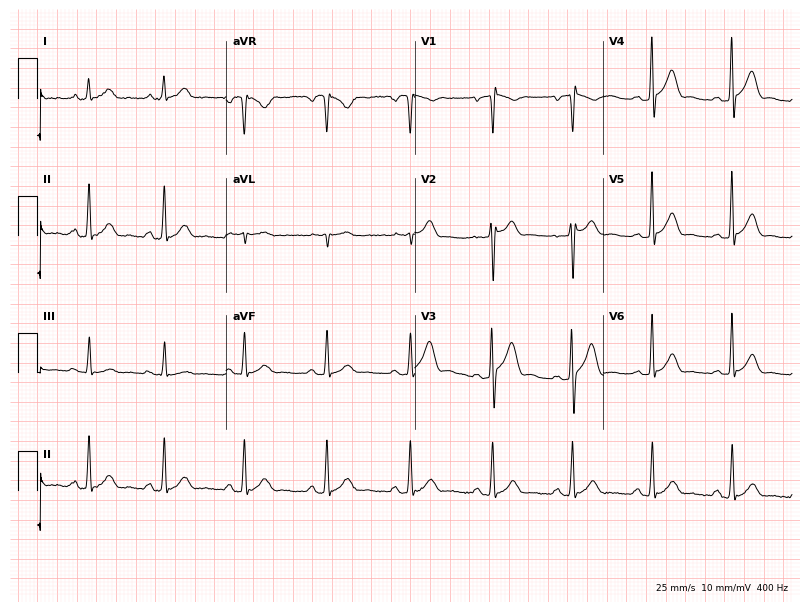
12-lead ECG (7.7-second recording at 400 Hz) from a 35-year-old male patient. Labelled as a normal ECG.